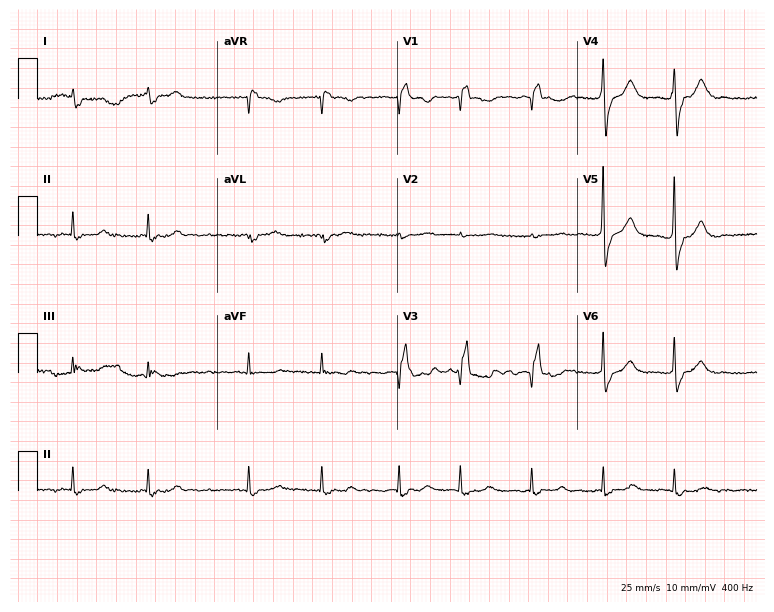
Resting 12-lead electrocardiogram. Patient: a 75-year-old female. The tracing shows right bundle branch block, atrial fibrillation.